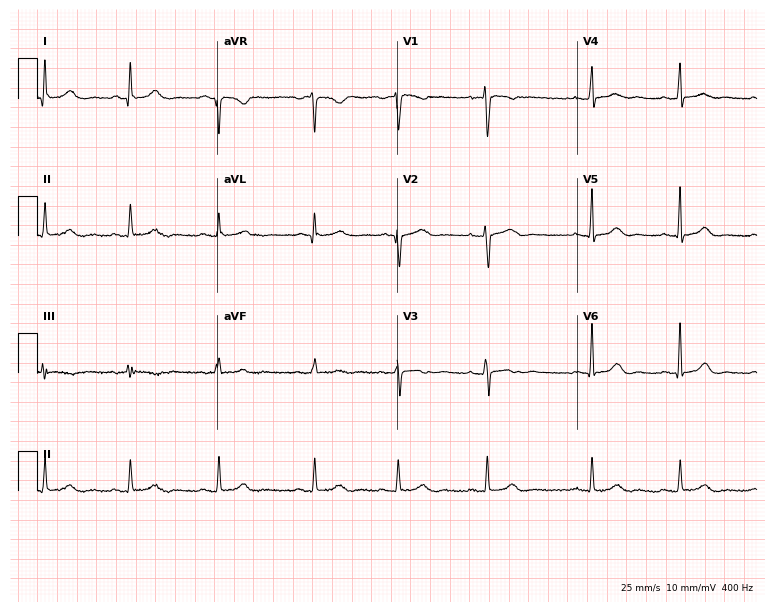
ECG — a 26-year-old female. Labelled as a normal ECG.